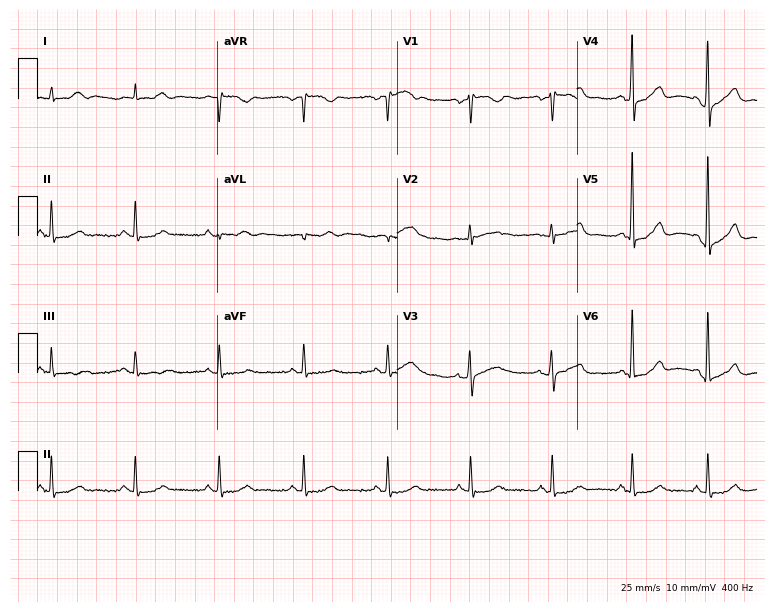
12-lead ECG from a 54-year-old female patient (7.3-second recording at 400 Hz). Recorded interpretation: within normal limits.